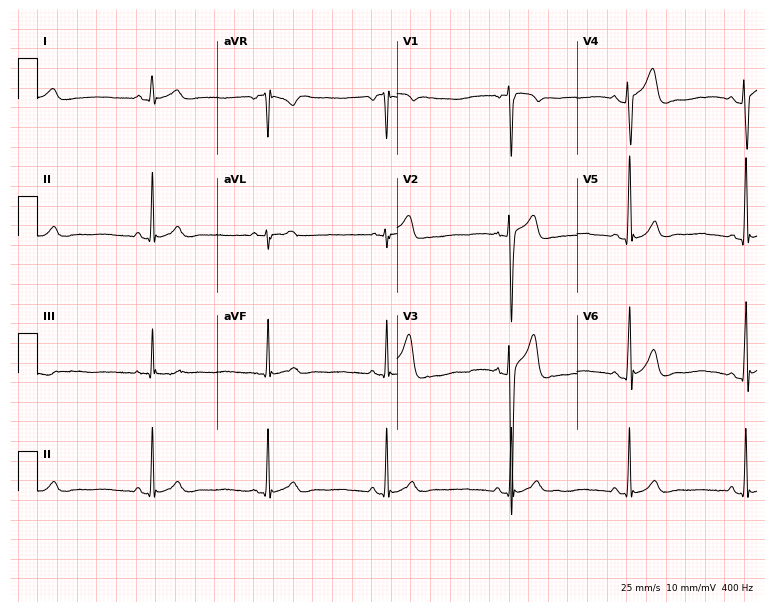
12-lead ECG (7.3-second recording at 400 Hz) from a 26-year-old man. Labelled as a normal ECG.